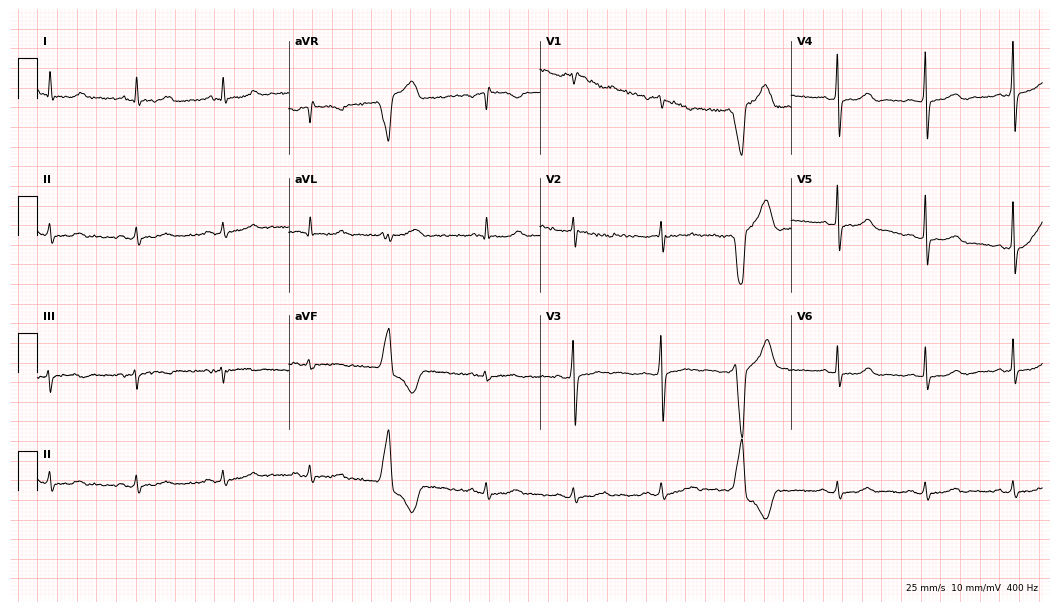
Standard 12-lead ECG recorded from an 80-year-old male (10.2-second recording at 400 Hz). None of these six findings is recorded: first-degree AV block, right bundle branch block, left bundle branch block, sinus bradycardia, atrial fibrillation, sinus tachycardia. Findings outside these six are not listed.